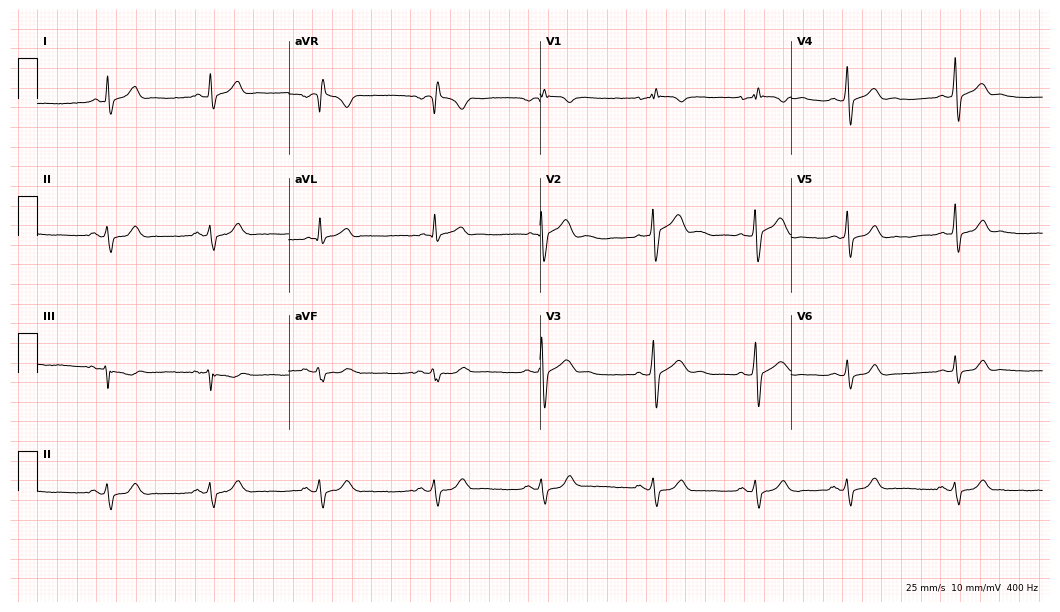
12-lead ECG from a 32-year-old man. Screened for six findings — first-degree AV block, right bundle branch block, left bundle branch block, sinus bradycardia, atrial fibrillation, sinus tachycardia — none is recorded.